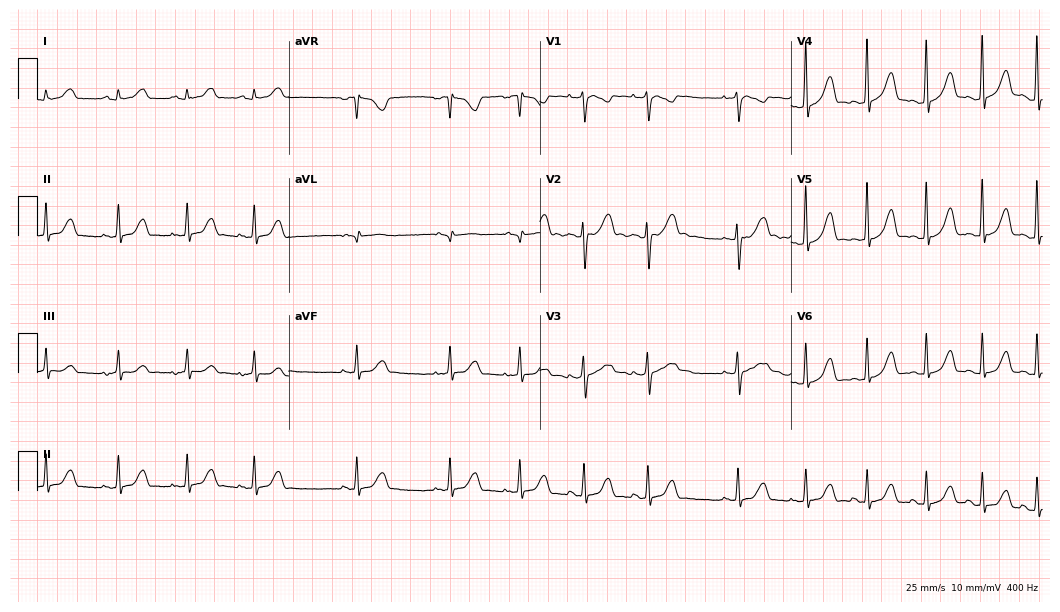
Electrocardiogram (10.2-second recording at 400 Hz), a female patient, 26 years old. Overall reading on record: normal ECG.